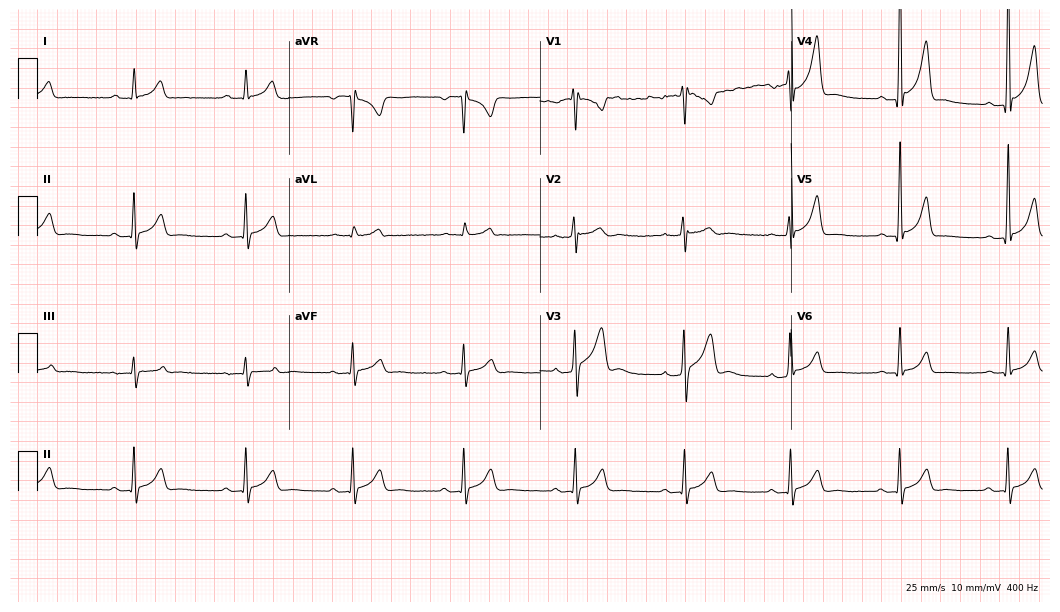
Electrocardiogram (10.2-second recording at 400 Hz), a 30-year-old male patient. Of the six screened findings (first-degree AV block, right bundle branch block, left bundle branch block, sinus bradycardia, atrial fibrillation, sinus tachycardia), none is recorded.